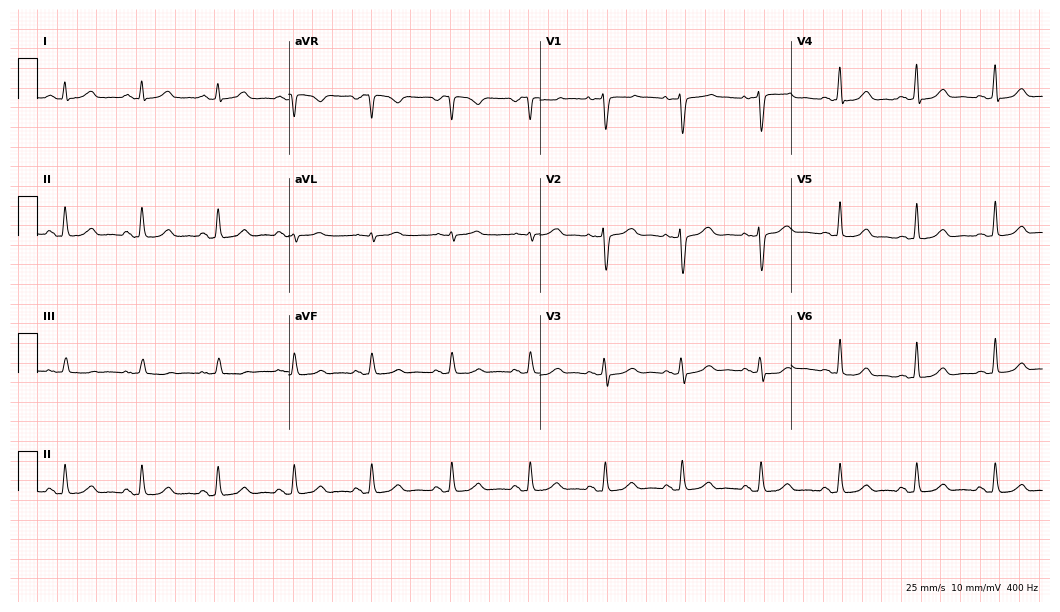
Electrocardiogram, a 38-year-old female patient. Overall reading on record: normal ECG.